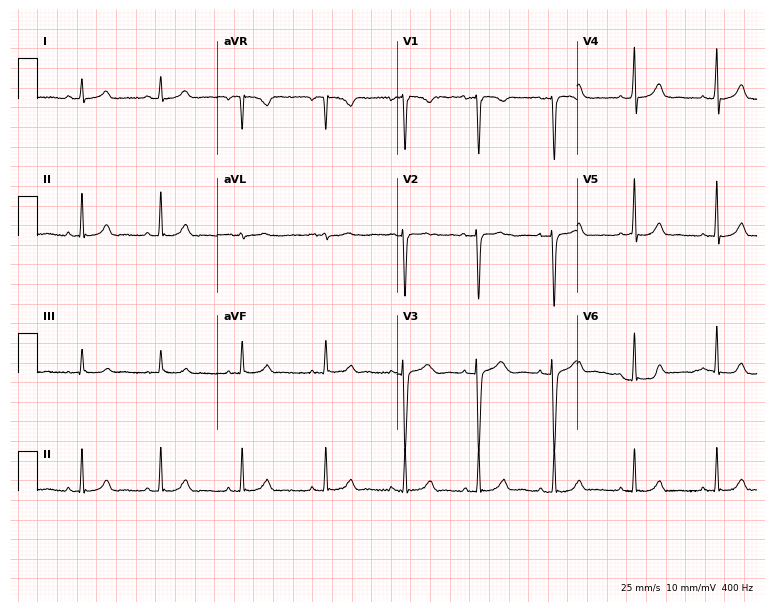
Electrocardiogram (7.3-second recording at 400 Hz), a female, 28 years old. Of the six screened findings (first-degree AV block, right bundle branch block (RBBB), left bundle branch block (LBBB), sinus bradycardia, atrial fibrillation (AF), sinus tachycardia), none is recorded. Findings outside these six are not listed.